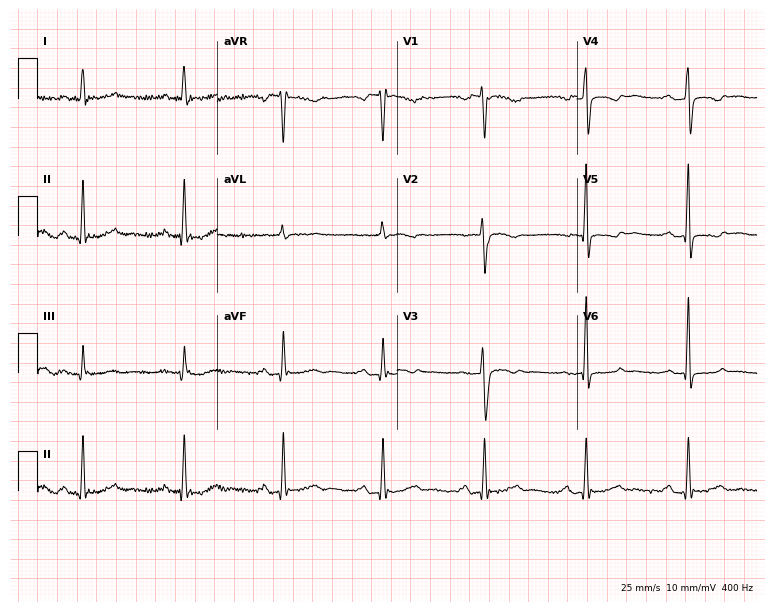
Standard 12-lead ECG recorded from a female, 62 years old. None of these six findings is recorded: first-degree AV block, right bundle branch block, left bundle branch block, sinus bradycardia, atrial fibrillation, sinus tachycardia.